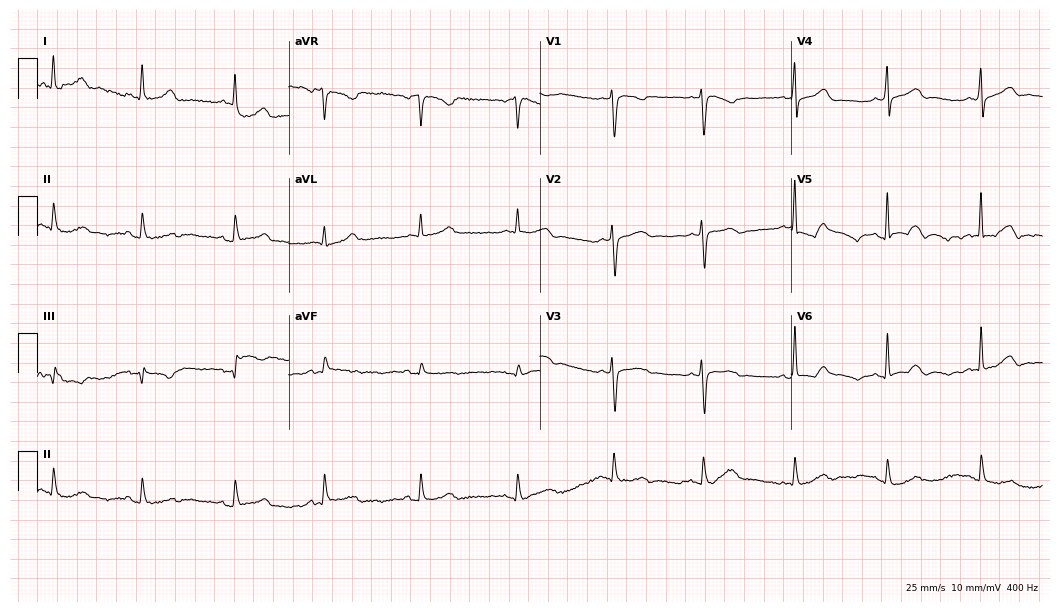
12-lead ECG from a 49-year-old female patient. Recorded interpretation: within normal limits.